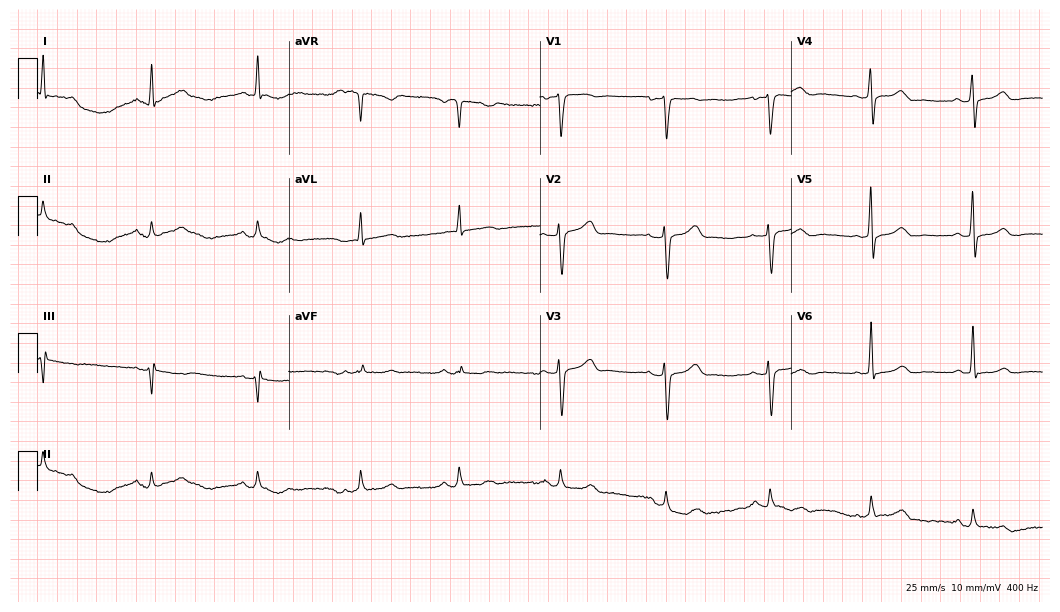
Standard 12-lead ECG recorded from a woman, 63 years old (10.2-second recording at 400 Hz). Read as a normal ECG.